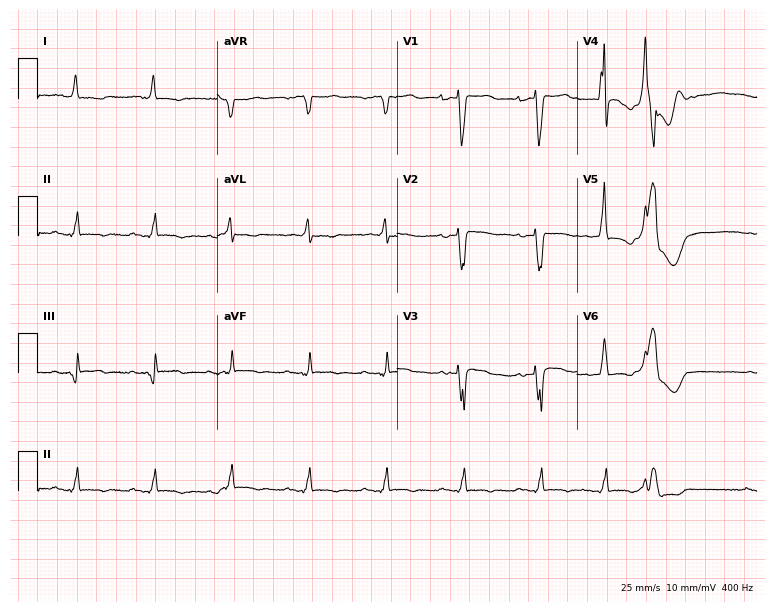
Resting 12-lead electrocardiogram. Patient: a male, 78 years old. None of these six findings is recorded: first-degree AV block, right bundle branch block, left bundle branch block, sinus bradycardia, atrial fibrillation, sinus tachycardia. Other findings, if any, are not listed.